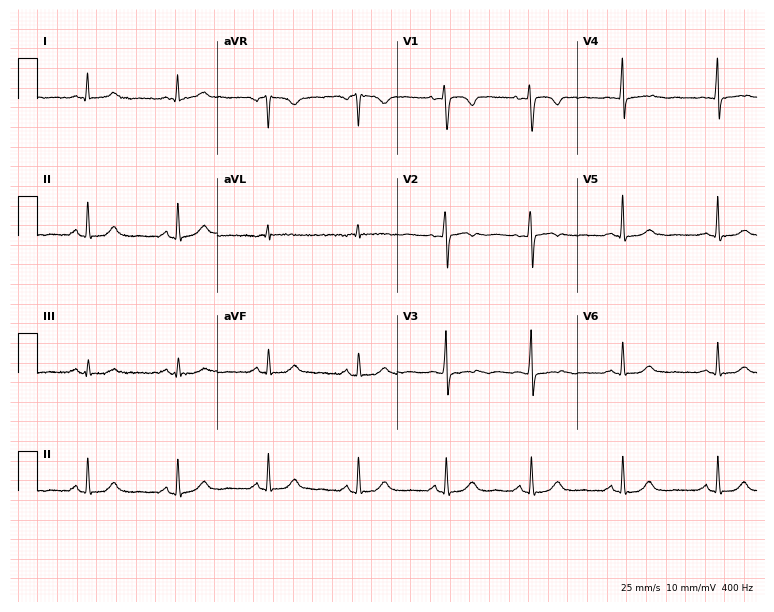
Electrocardiogram (7.3-second recording at 400 Hz), a 48-year-old female. Of the six screened findings (first-degree AV block, right bundle branch block, left bundle branch block, sinus bradycardia, atrial fibrillation, sinus tachycardia), none is recorded.